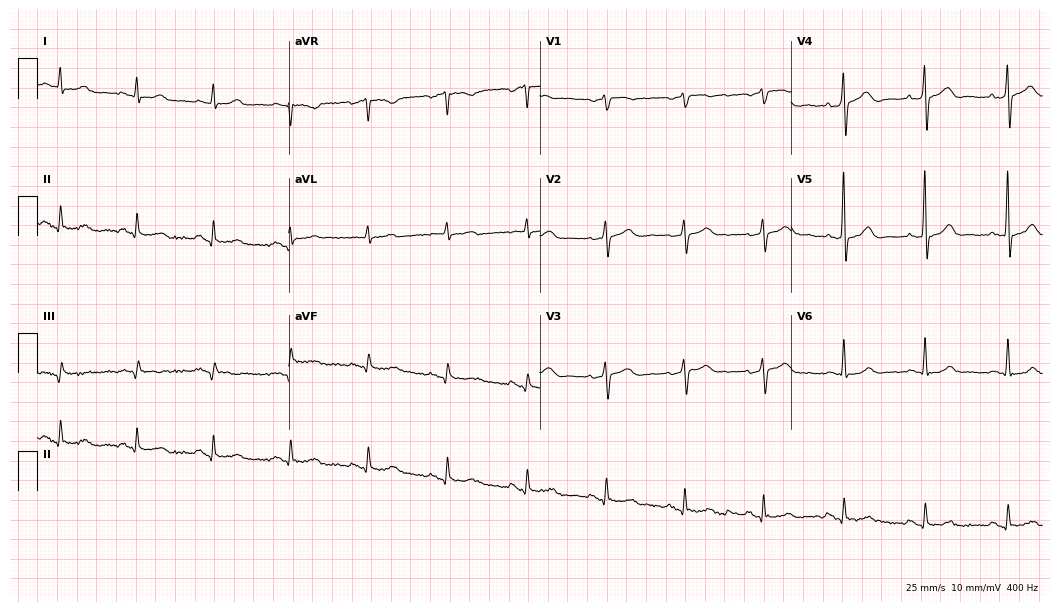
Resting 12-lead electrocardiogram. Patient: a male, 66 years old. Read as a normal ECG.